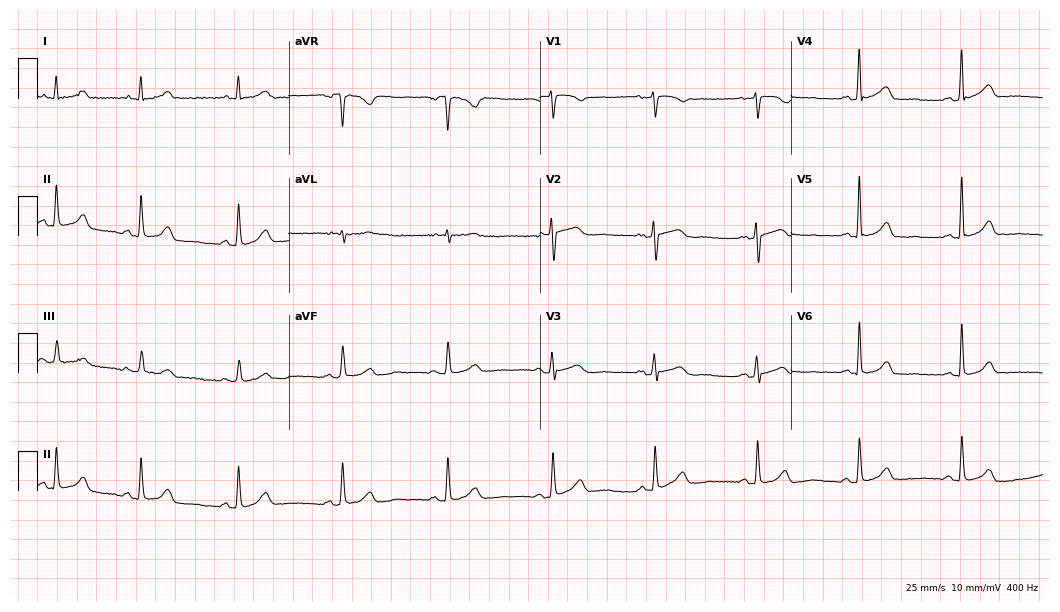
ECG — a female, 45 years old. Labelled as a normal ECG.